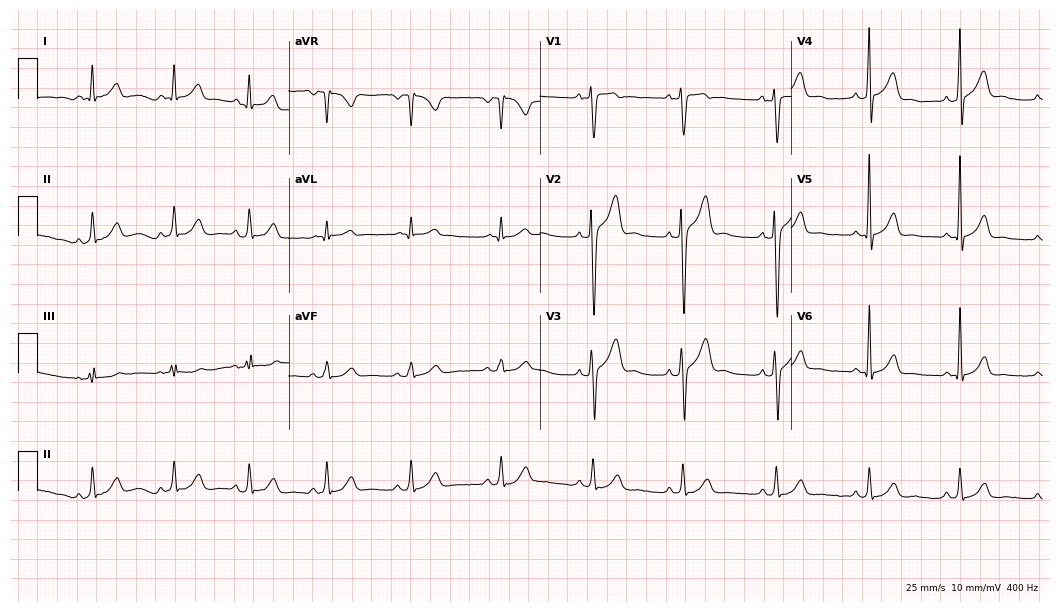
Resting 12-lead electrocardiogram. Patient: a 37-year-old male. Read as a normal ECG.